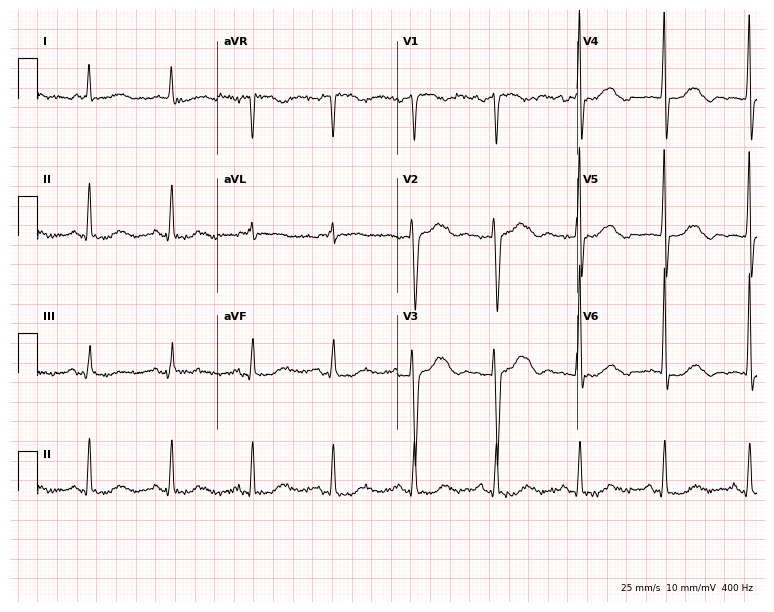
Resting 12-lead electrocardiogram (7.3-second recording at 400 Hz). Patient: a male, 79 years old. None of these six findings is recorded: first-degree AV block, right bundle branch block, left bundle branch block, sinus bradycardia, atrial fibrillation, sinus tachycardia. Other findings, if any, are not listed.